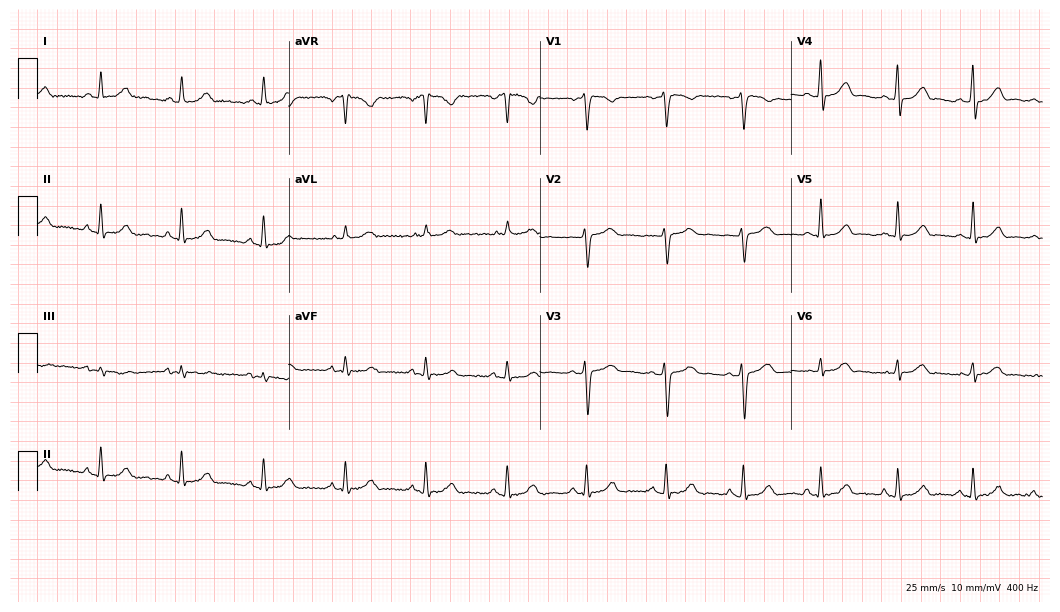
12-lead ECG (10.2-second recording at 400 Hz) from a female patient, 46 years old. Labelled as a normal ECG.